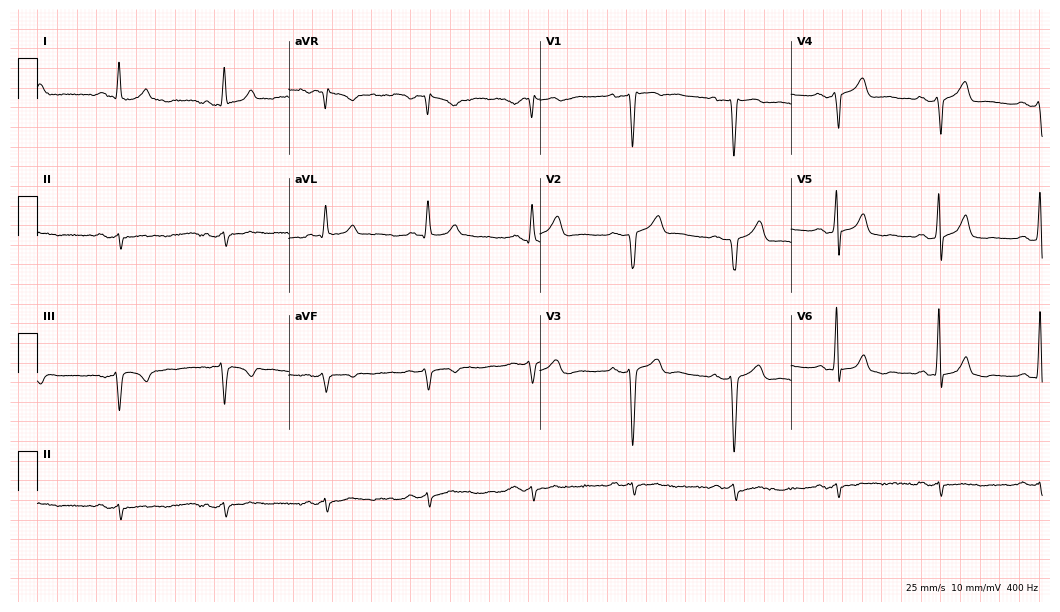
12-lead ECG from a 58-year-old man. No first-degree AV block, right bundle branch block, left bundle branch block, sinus bradycardia, atrial fibrillation or sinus tachycardia recorded for this tracing.